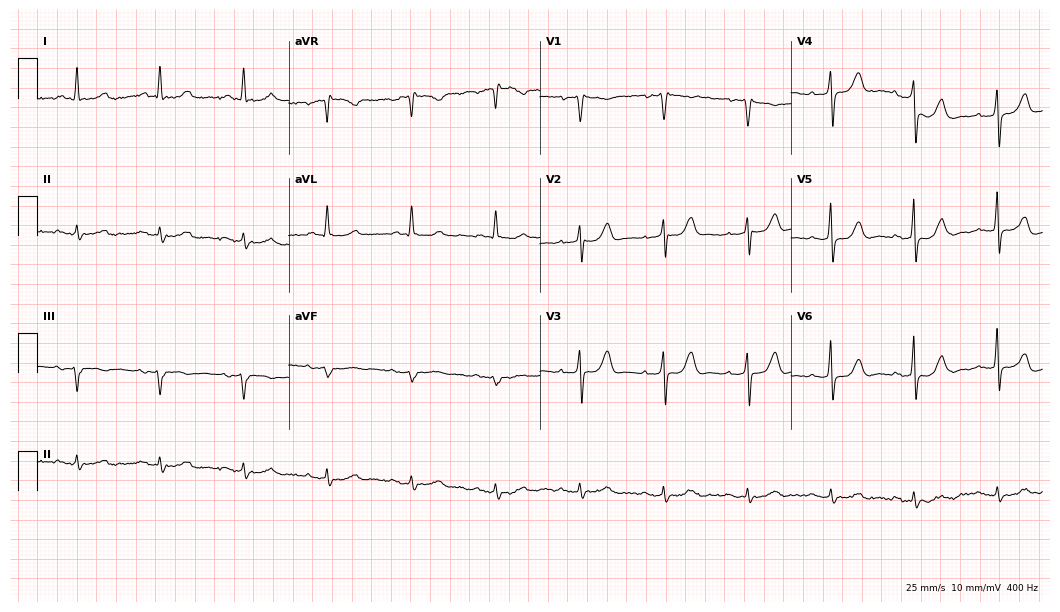
ECG (10.2-second recording at 400 Hz) — a male, 83 years old. Screened for six findings — first-degree AV block, right bundle branch block (RBBB), left bundle branch block (LBBB), sinus bradycardia, atrial fibrillation (AF), sinus tachycardia — none is recorded. Other findings, if any, are not listed.